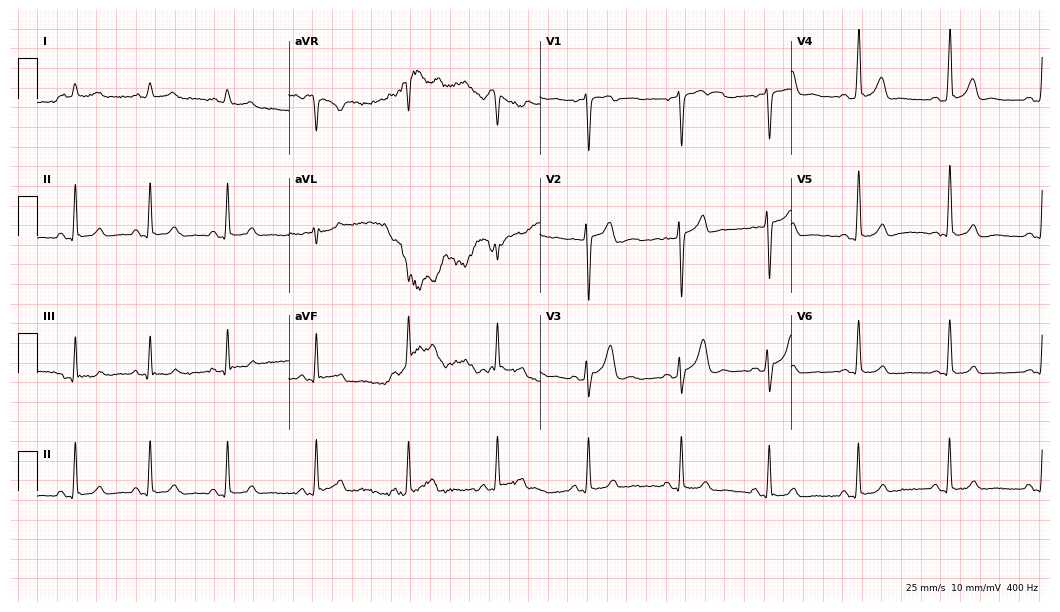
Standard 12-lead ECG recorded from a 45-year-old man. Read as a normal ECG.